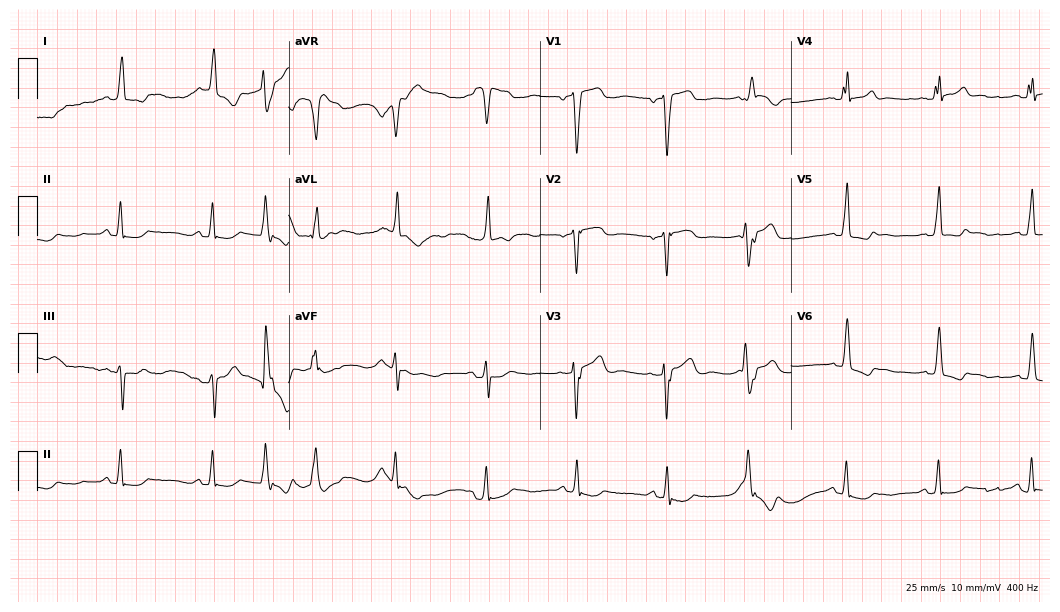
ECG (10.2-second recording at 400 Hz) — a man, 77 years old. Screened for six findings — first-degree AV block, right bundle branch block, left bundle branch block, sinus bradycardia, atrial fibrillation, sinus tachycardia — none is recorded.